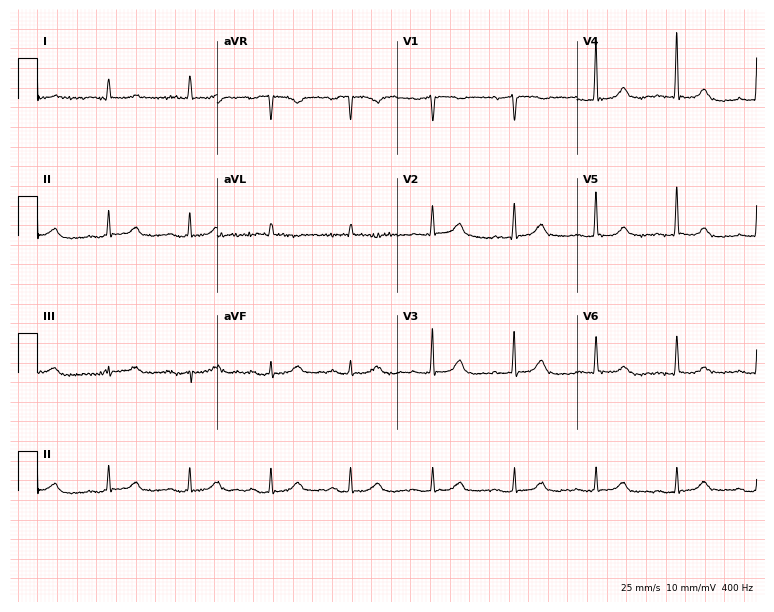
ECG (7.3-second recording at 400 Hz) — an 83-year-old female. Labelled as a normal ECG.